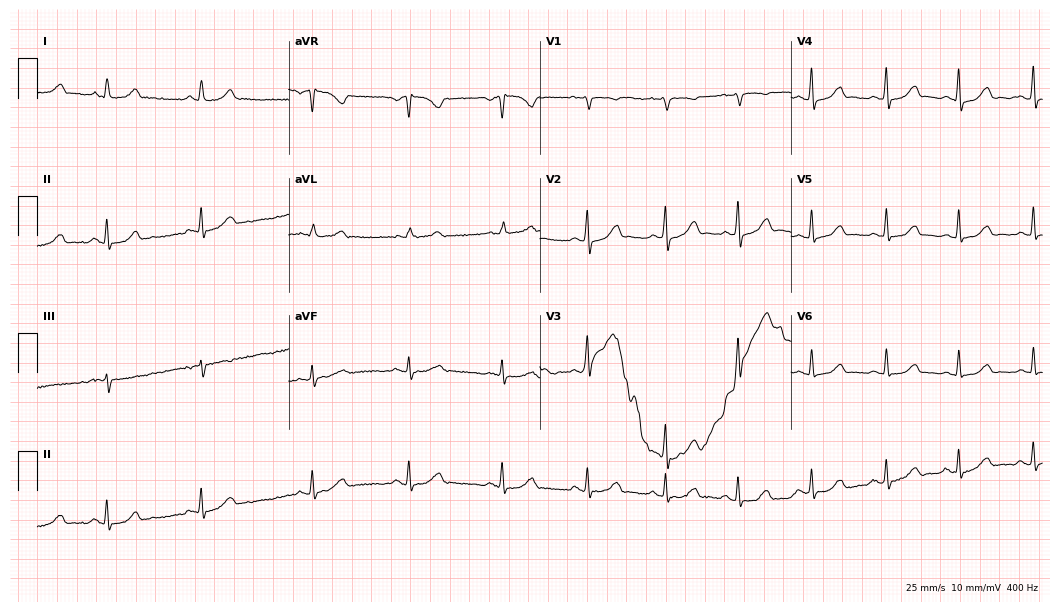
Electrocardiogram, a 38-year-old woman. Overall reading on record: normal ECG.